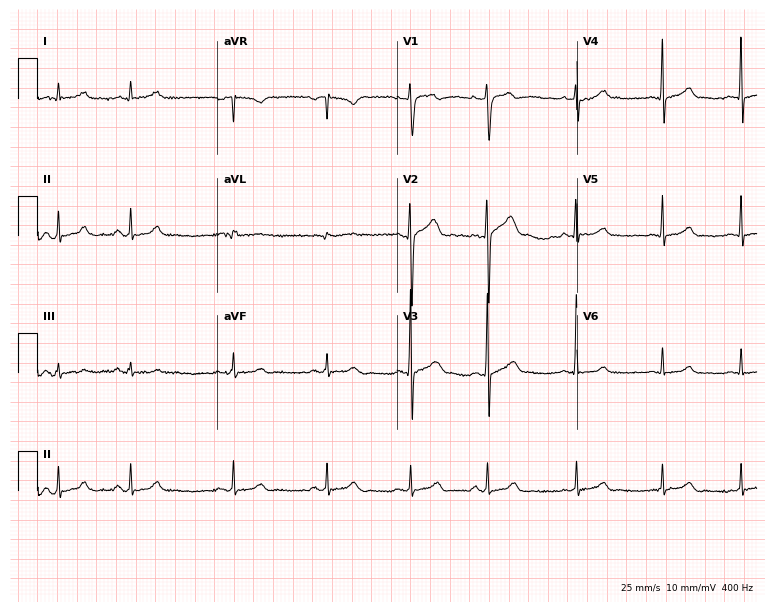
Resting 12-lead electrocardiogram (7.3-second recording at 400 Hz). Patient: a 17-year-old male. None of these six findings is recorded: first-degree AV block, right bundle branch block, left bundle branch block, sinus bradycardia, atrial fibrillation, sinus tachycardia. Only these six findings were labelled.